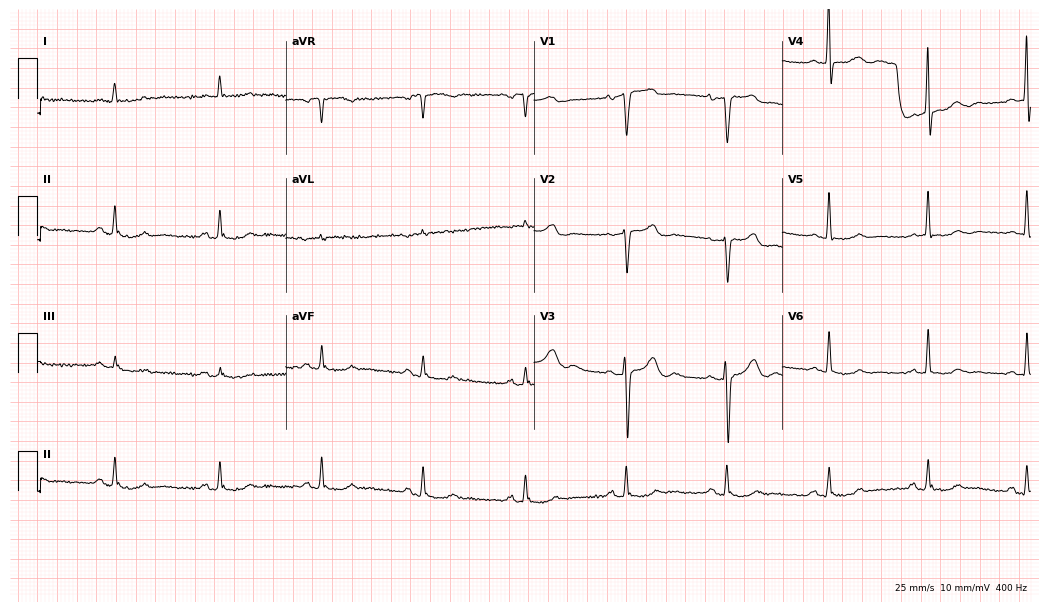
Resting 12-lead electrocardiogram. Patient: a male, 85 years old. None of these six findings is recorded: first-degree AV block, right bundle branch block (RBBB), left bundle branch block (LBBB), sinus bradycardia, atrial fibrillation (AF), sinus tachycardia.